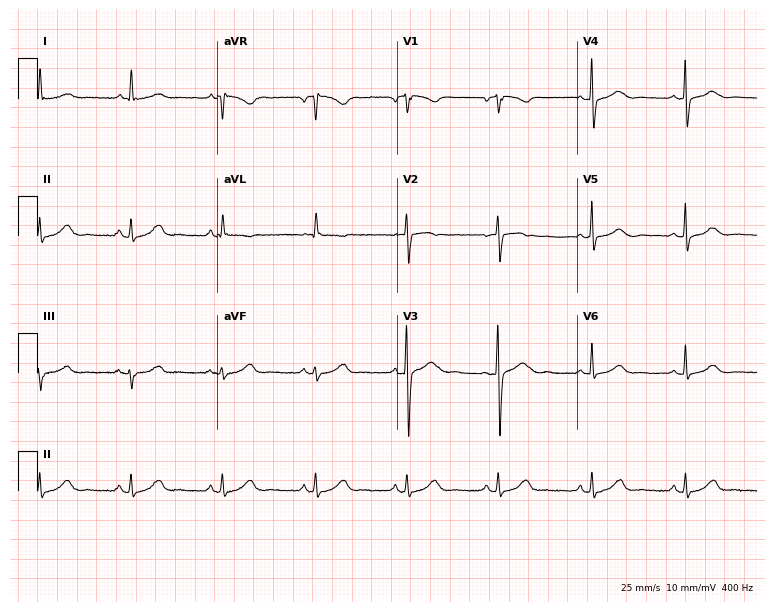
12-lead ECG (7.3-second recording at 400 Hz) from a female patient, 64 years old. Labelled as a normal ECG.